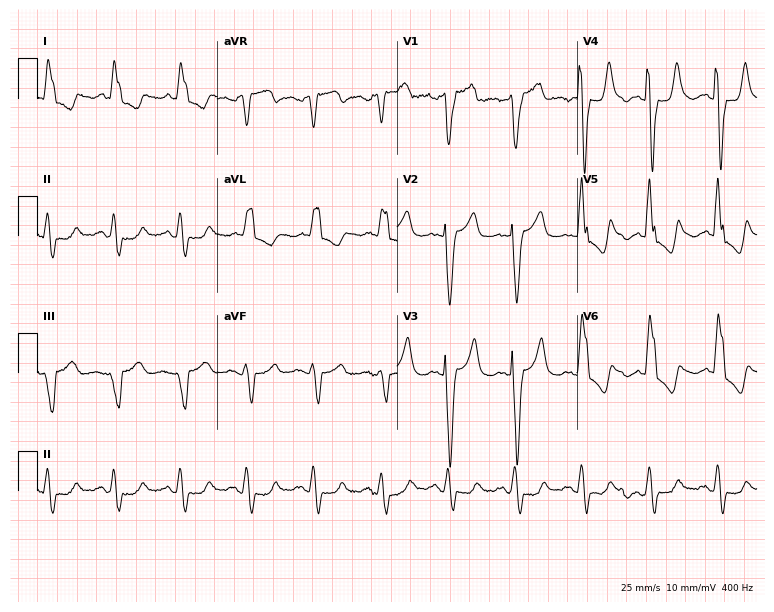
Electrocardiogram (7.3-second recording at 400 Hz), a woman, 85 years old. Interpretation includes left bundle branch block.